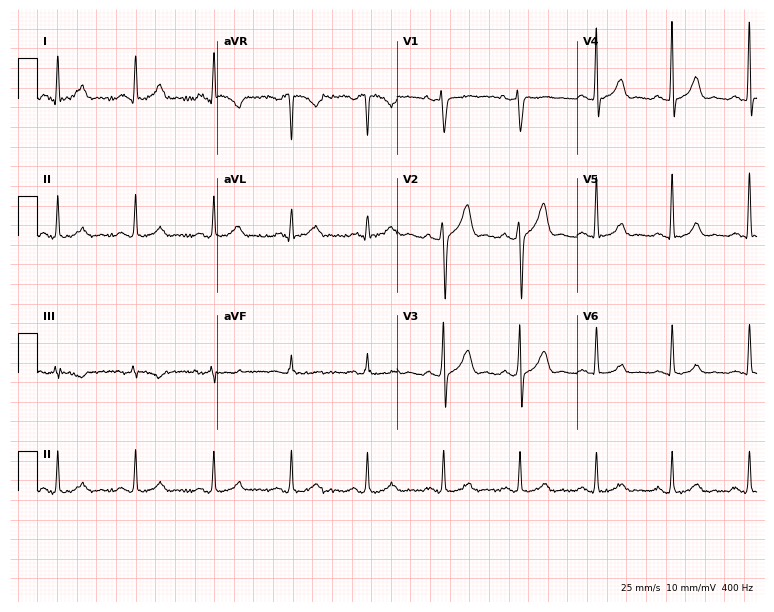
Standard 12-lead ECG recorded from a 54-year-old man (7.3-second recording at 400 Hz). Read as a normal ECG.